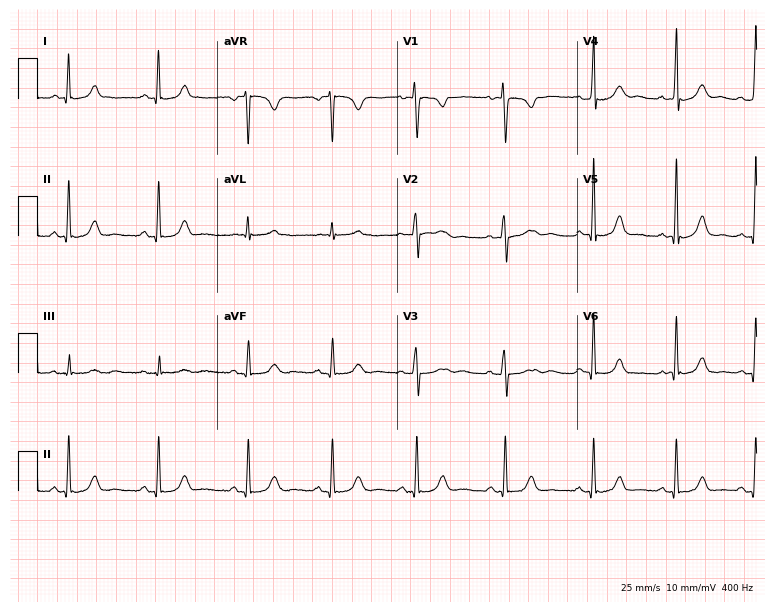
Resting 12-lead electrocardiogram. Patient: a woman, 32 years old. Read as a normal ECG.